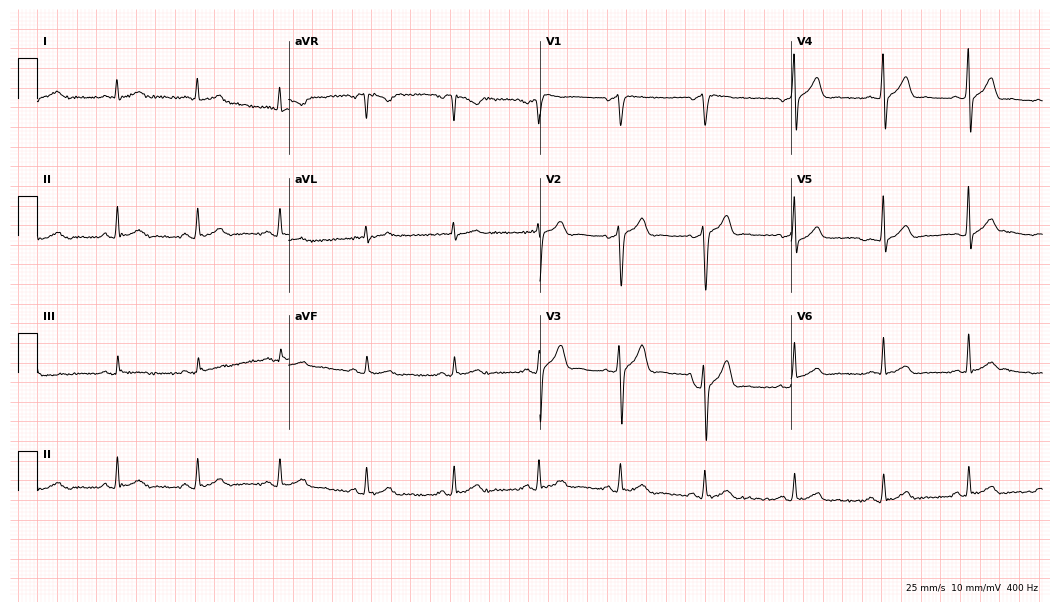
Resting 12-lead electrocardiogram. Patient: a 43-year-old male. None of these six findings is recorded: first-degree AV block, right bundle branch block, left bundle branch block, sinus bradycardia, atrial fibrillation, sinus tachycardia.